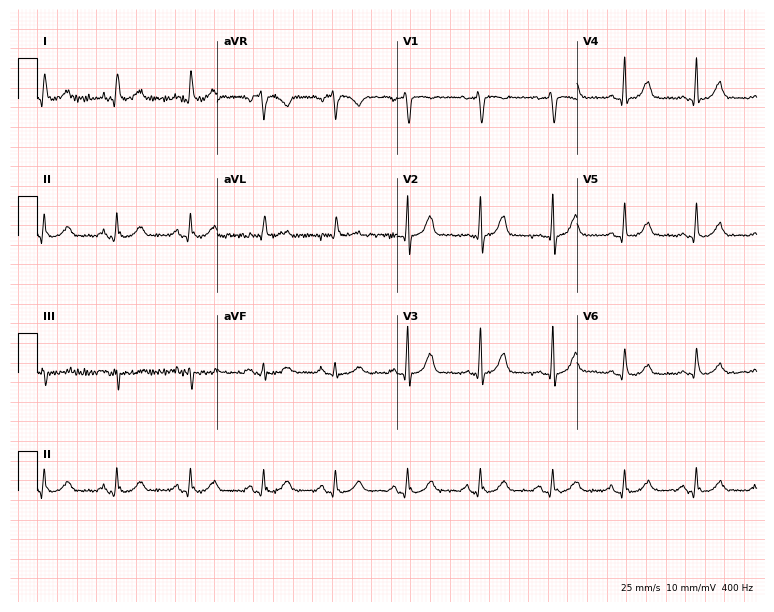
Electrocardiogram, a 61-year-old female patient. Overall reading on record: normal ECG.